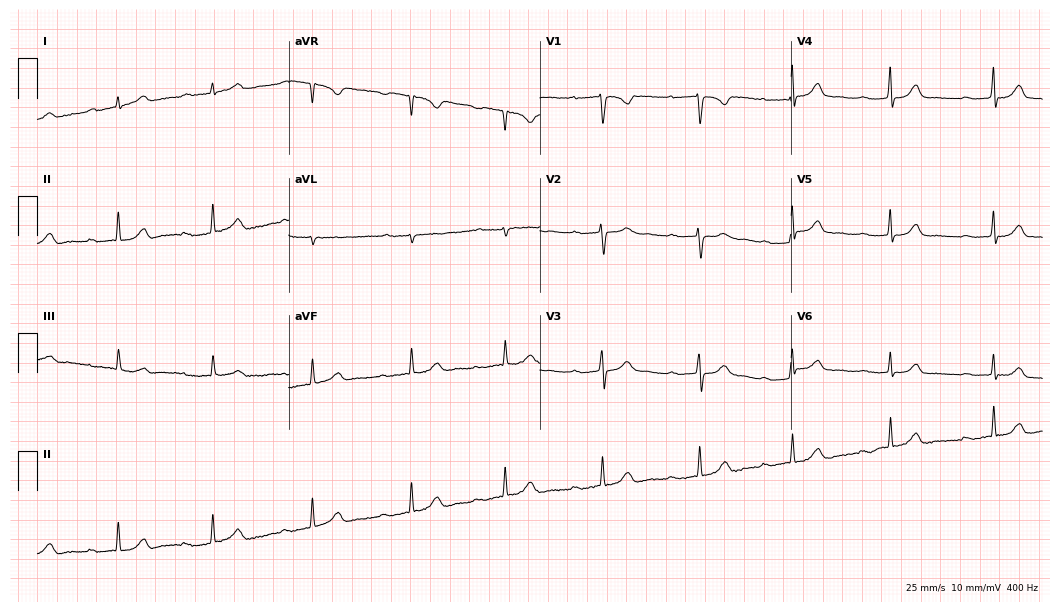
Electrocardiogram, a female, 20 years old. Interpretation includes first-degree AV block.